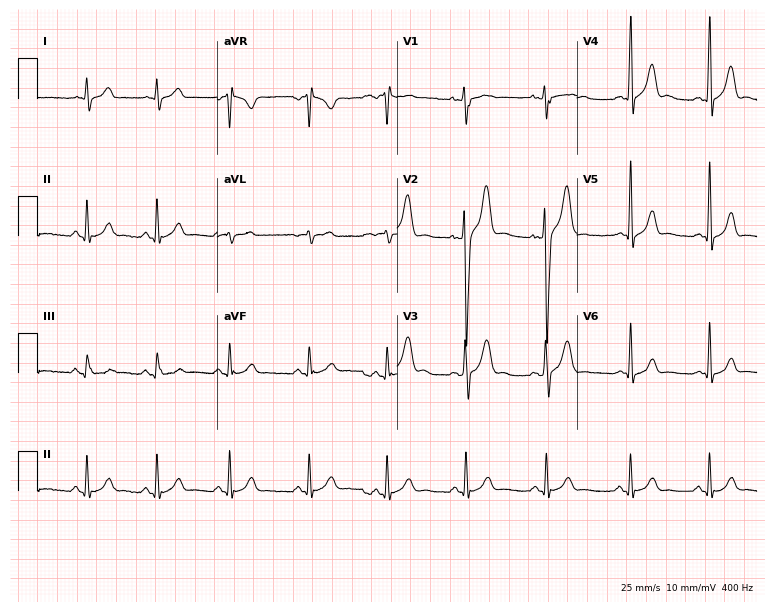
Standard 12-lead ECG recorded from a 24-year-old male patient (7.3-second recording at 400 Hz). None of these six findings is recorded: first-degree AV block, right bundle branch block, left bundle branch block, sinus bradycardia, atrial fibrillation, sinus tachycardia.